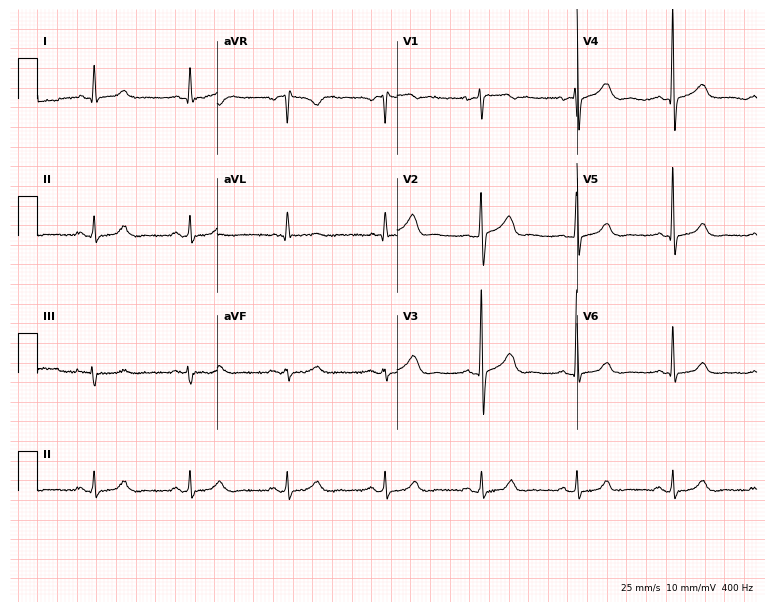
Resting 12-lead electrocardiogram. Patient: a male, 64 years old. Read as a normal ECG.